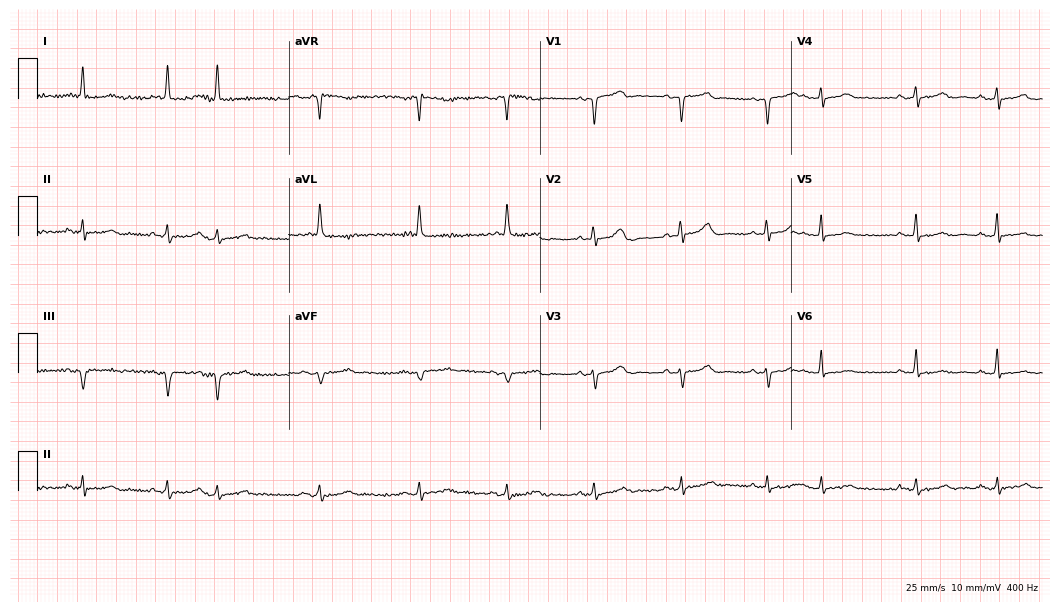
Electrocardiogram, a female, 72 years old. Of the six screened findings (first-degree AV block, right bundle branch block (RBBB), left bundle branch block (LBBB), sinus bradycardia, atrial fibrillation (AF), sinus tachycardia), none is recorded. Other findings, if any, are not listed.